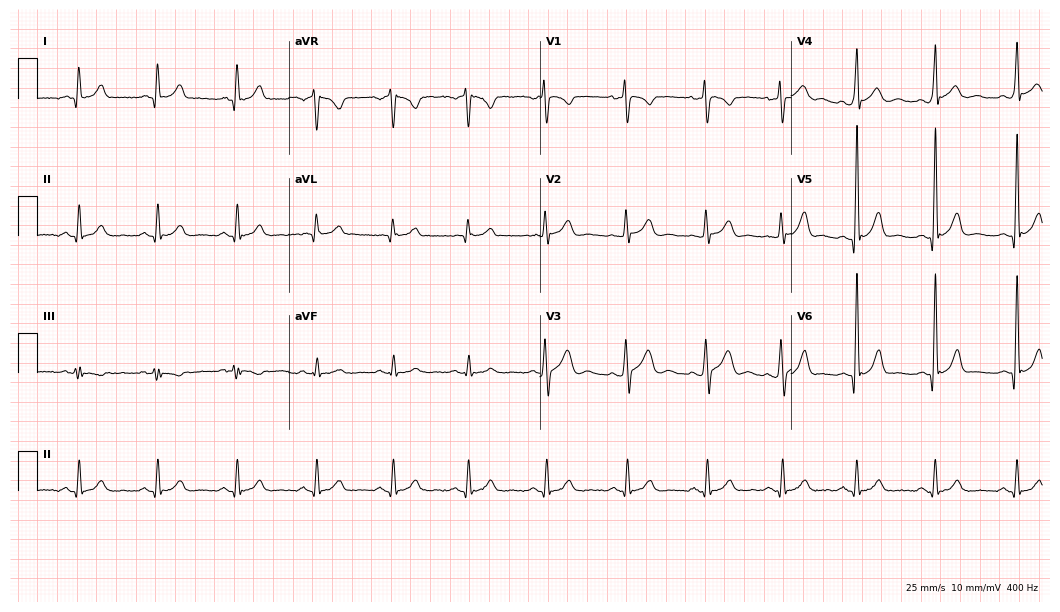
12-lead ECG from a male, 24 years old. Recorded interpretation: within normal limits.